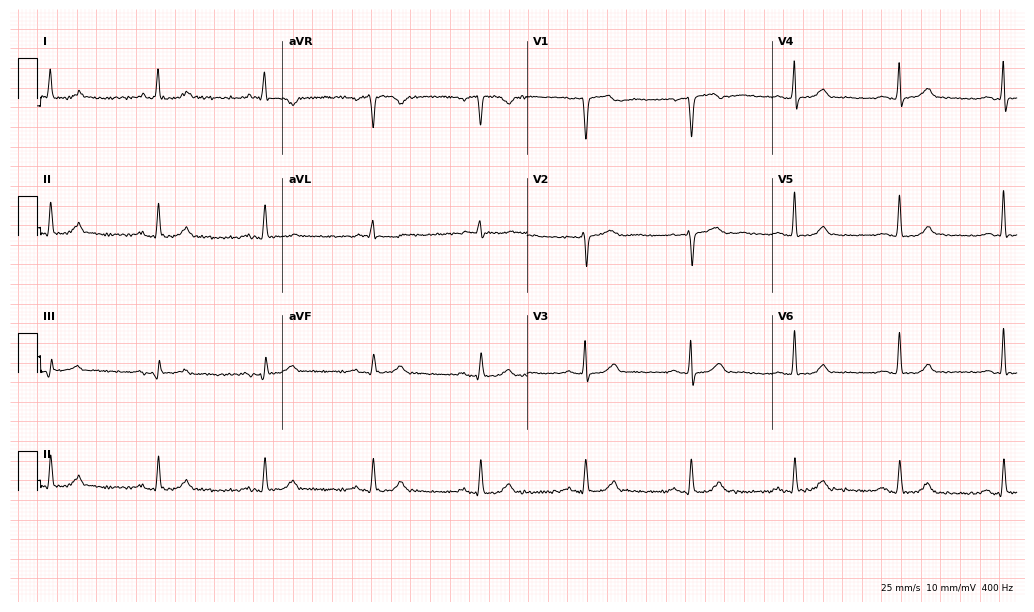
12-lead ECG from a 63-year-old male. Recorded interpretation: within normal limits.